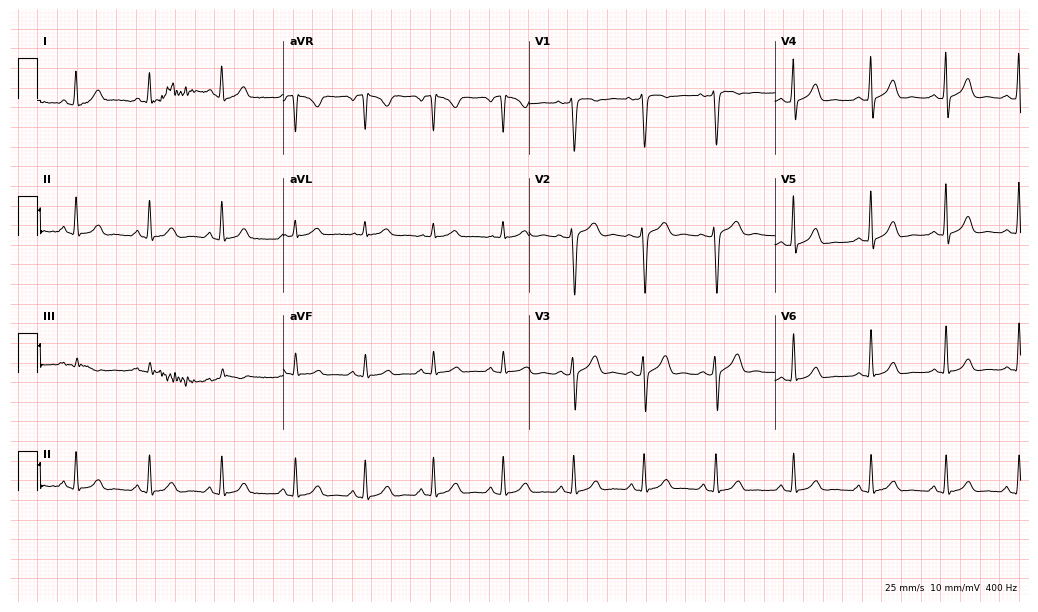
12-lead ECG (10-second recording at 400 Hz) from a woman, 41 years old. Labelled as a normal ECG.